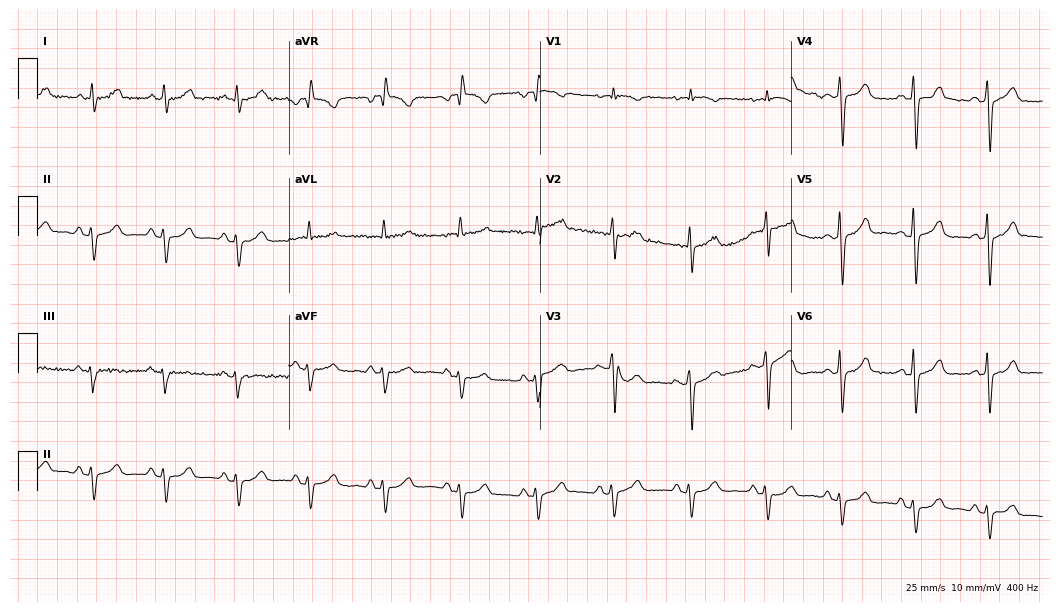
Resting 12-lead electrocardiogram (10.2-second recording at 400 Hz). Patient: a male, 81 years old. None of these six findings is recorded: first-degree AV block, right bundle branch block, left bundle branch block, sinus bradycardia, atrial fibrillation, sinus tachycardia. Findings outside these six are not listed.